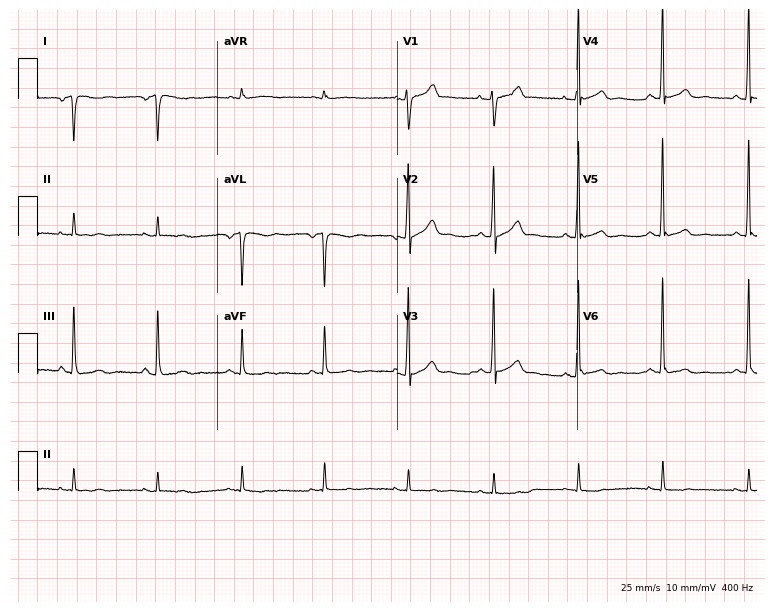
Resting 12-lead electrocardiogram. Patient: a man, 44 years old. None of these six findings is recorded: first-degree AV block, right bundle branch block, left bundle branch block, sinus bradycardia, atrial fibrillation, sinus tachycardia. Findings outside these six are not listed.